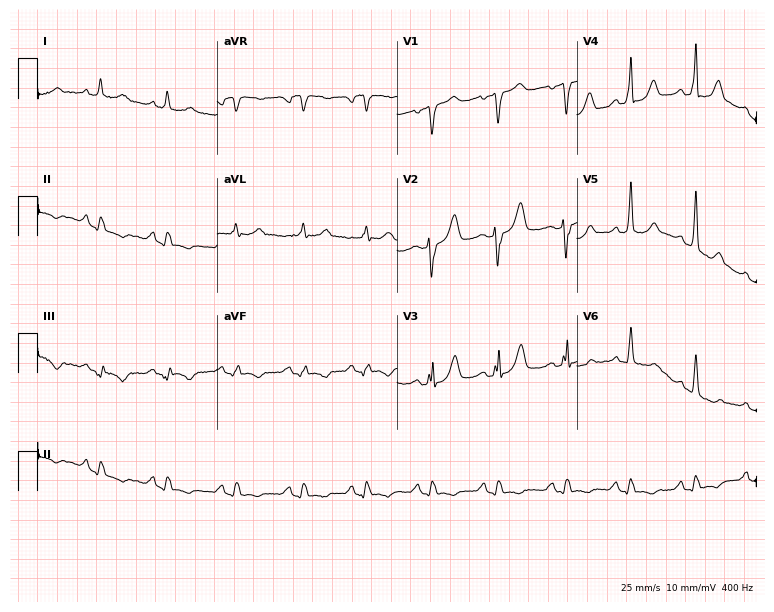
12-lead ECG (7.3-second recording at 400 Hz) from a 69-year-old male. Screened for six findings — first-degree AV block, right bundle branch block, left bundle branch block, sinus bradycardia, atrial fibrillation, sinus tachycardia — none is recorded. Only these six findings were labelled.